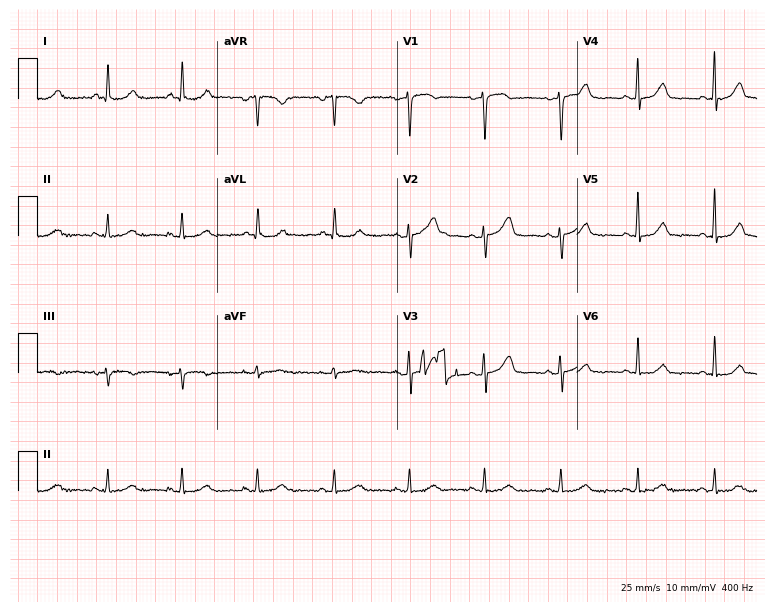
Resting 12-lead electrocardiogram (7.3-second recording at 400 Hz). Patient: a female, 48 years old. None of these six findings is recorded: first-degree AV block, right bundle branch block, left bundle branch block, sinus bradycardia, atrial fibrillation, sinus tachycardia. Other findings, if any, are not listed.